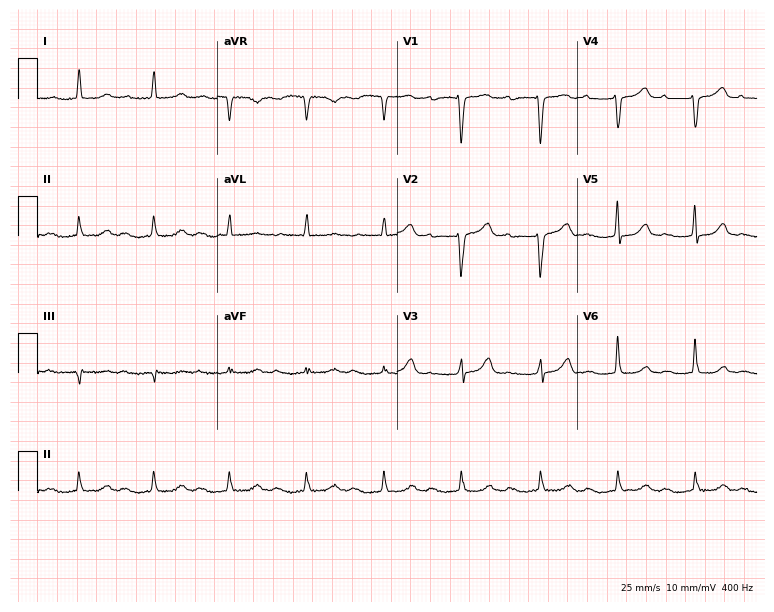
12-lead ECG from a 77-year-old female patient (7.3-second recording at 400 Hz). Shows first-degree AV block.